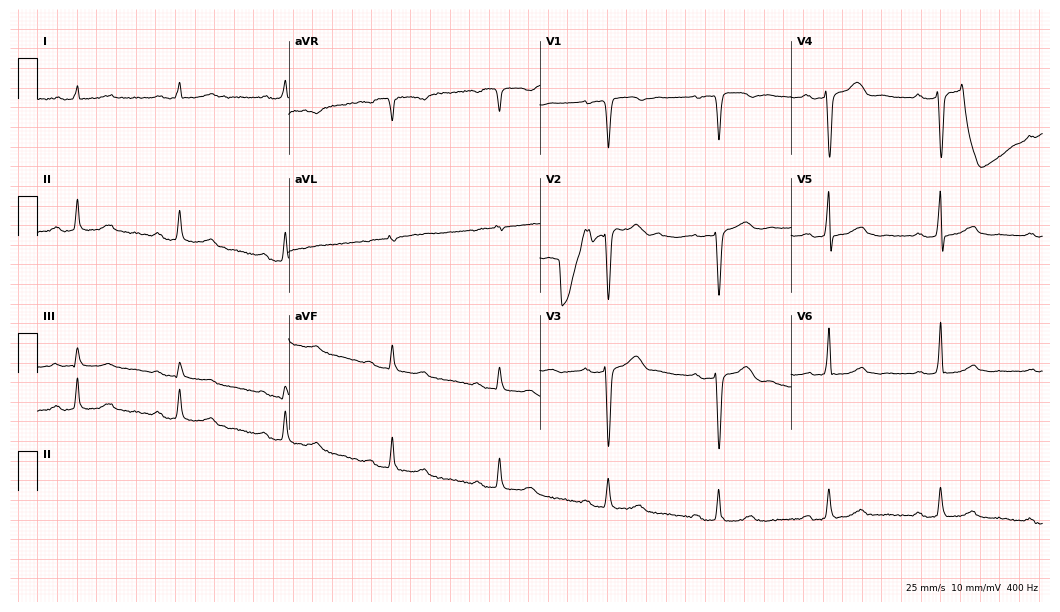
12-lead ECG from a 68-year-old male patient. Labelled as a normal ECG.